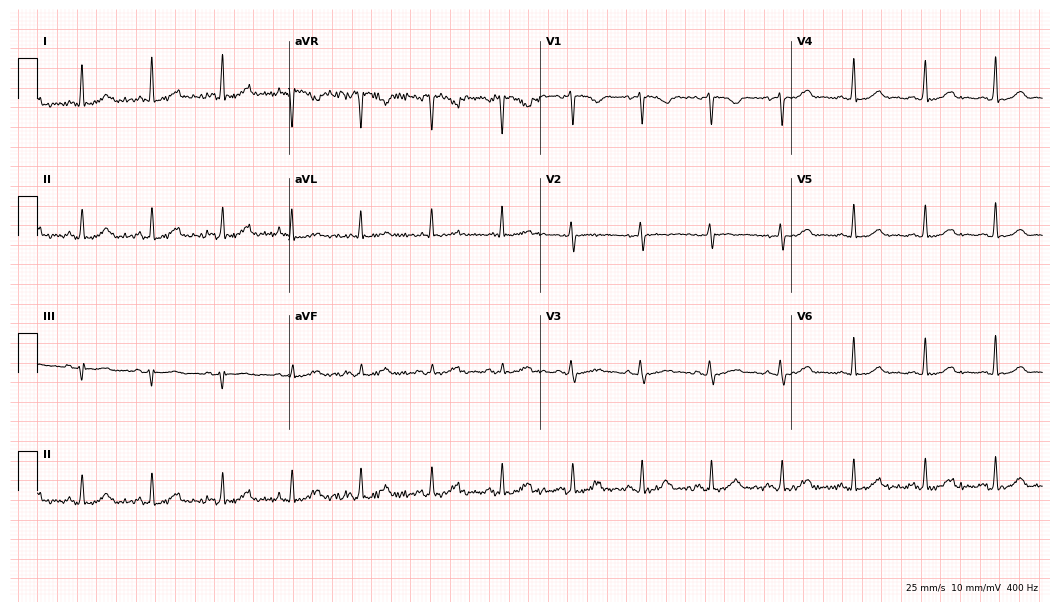
Electrocardiogram (10.2-second recording at 400 Hz), a 37-year-old female. Of the six screened findings (first-degree AV block, right bundle branch block, left bundle branch block, sinus bradycardia, atrial fibrillation, sinus tachycardia), none is recorded. Findings outside these six are not listed.